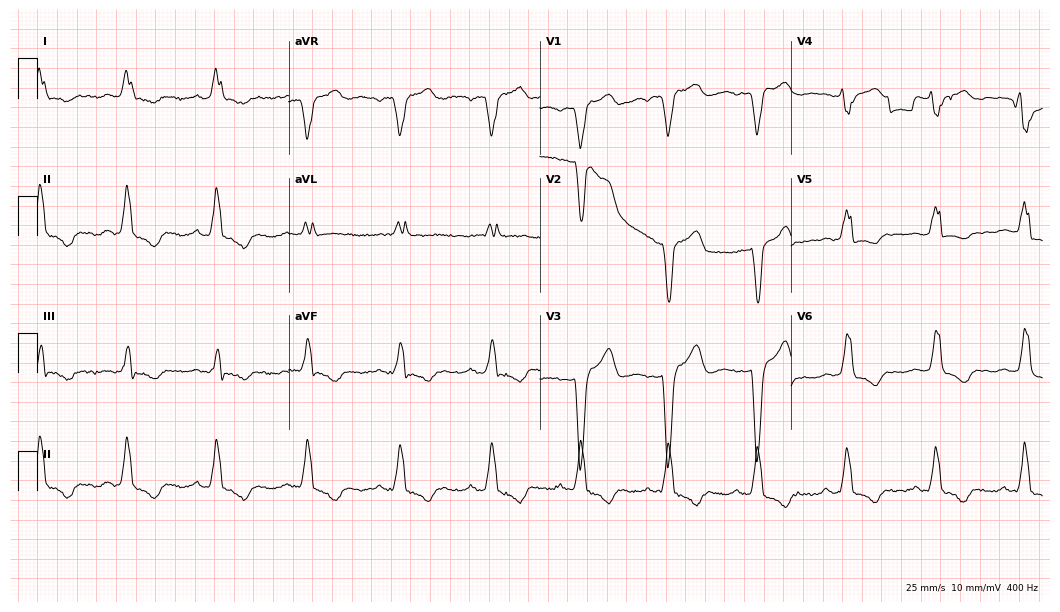
Electrocardiogram, a 78-year-old woman. Interpretation includes left bundle branch block.